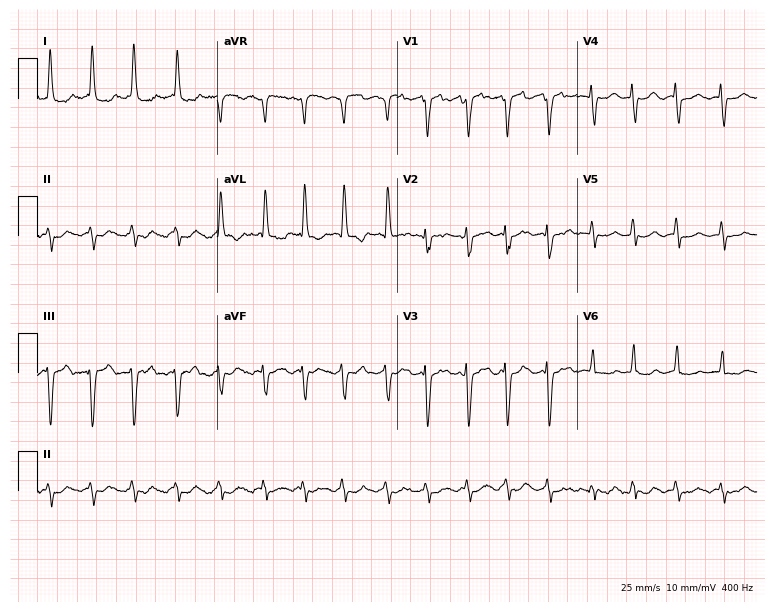
Standard 12-lead ECG recorded from a 69-year-old female patient (7.3-second recording at 400 Hz). The tracing shows atrial fibrillation.